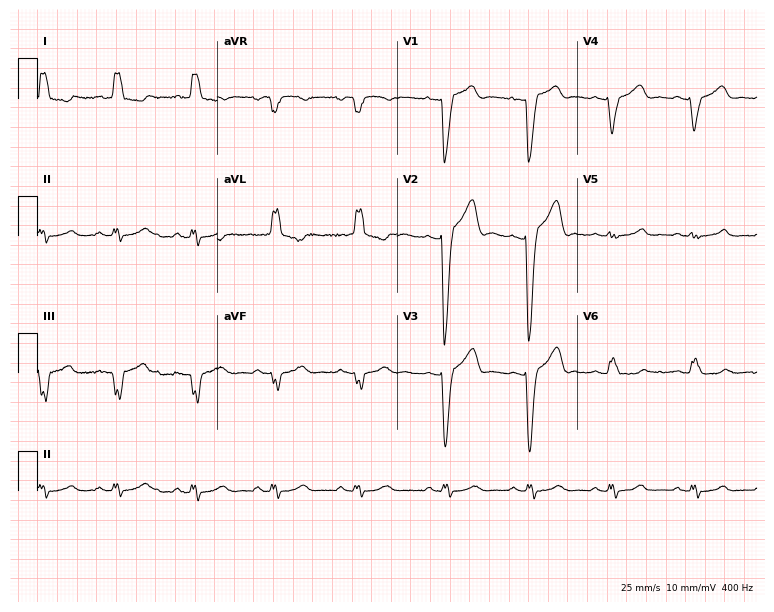
Standard 12-lead ECG recorded from a woman, 34 years old. The tracing shows left bundle branch block.